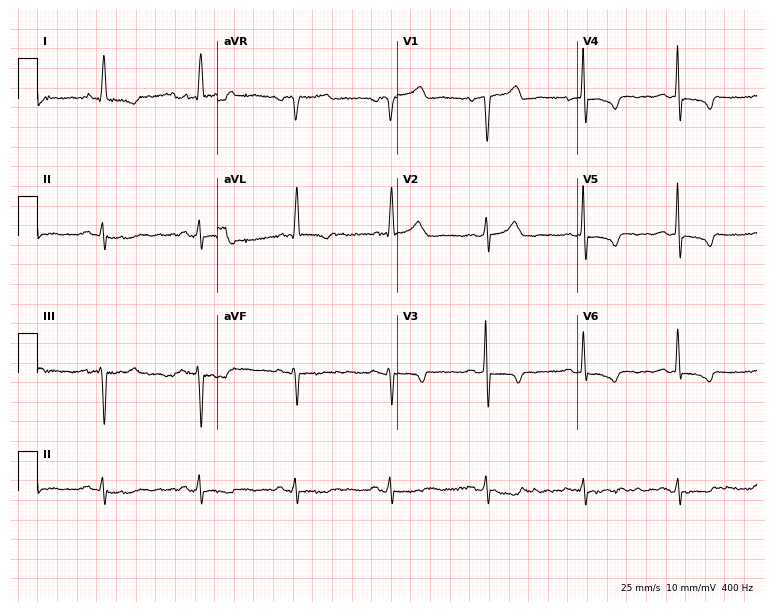
Resting 12-lead electrocardiogram (7.3-second recording at 400 Hz). Patient: a 73-year-old man. None of these six findings is recorded: first-degree AV block, right bundle branch block, left bundle branch block, sinus bradycardia, atrial fibrillation, sinus tachycardia. Findings outside these six are not listed.